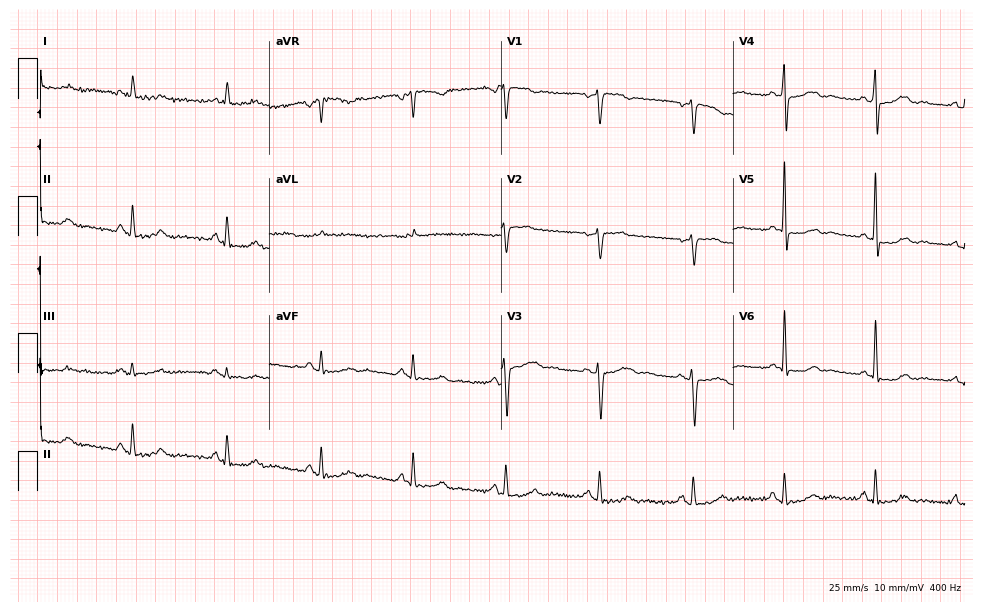
Resting 12-lead electrocardiogram. Patient: a 56-year-old female. None of these six findings is recorded: first-degree AV block, right bundle branch block (RBBB), left bundle branch block (LBBB), sinus bradycardia, atrial fibrillation (AF), sinus tachycardia.